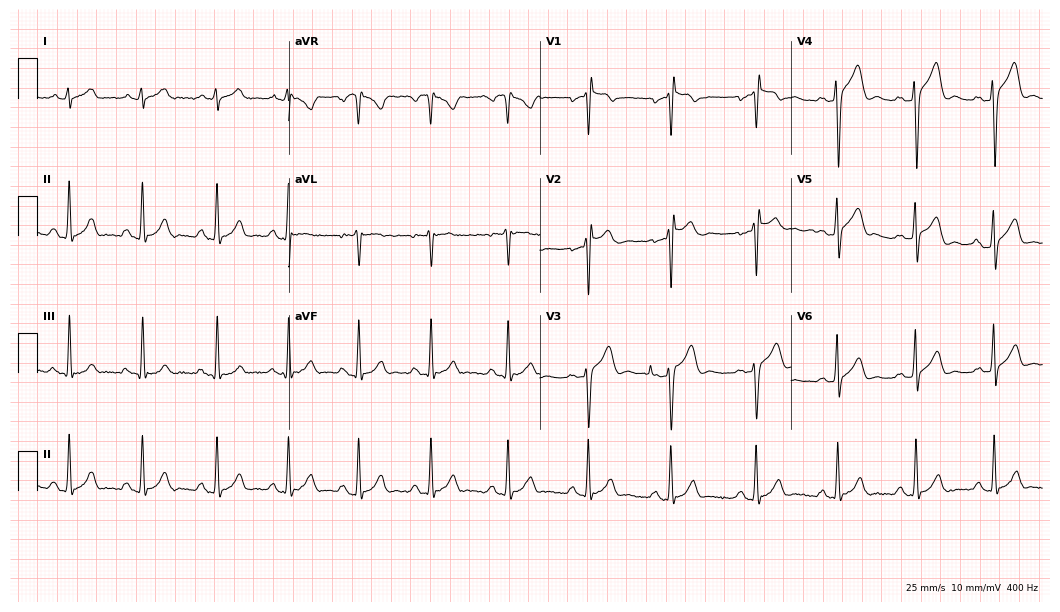
ECG (10.2-second recording at 400 Hz) — a man, 33 years old. Screened for six findings — first-degree AV block, right bundle branch block (RBBB), left bundle branch block (LBBB), sinus bradycardia, atrial fibrillation (AF), sinus tachycardia — none is recorded.